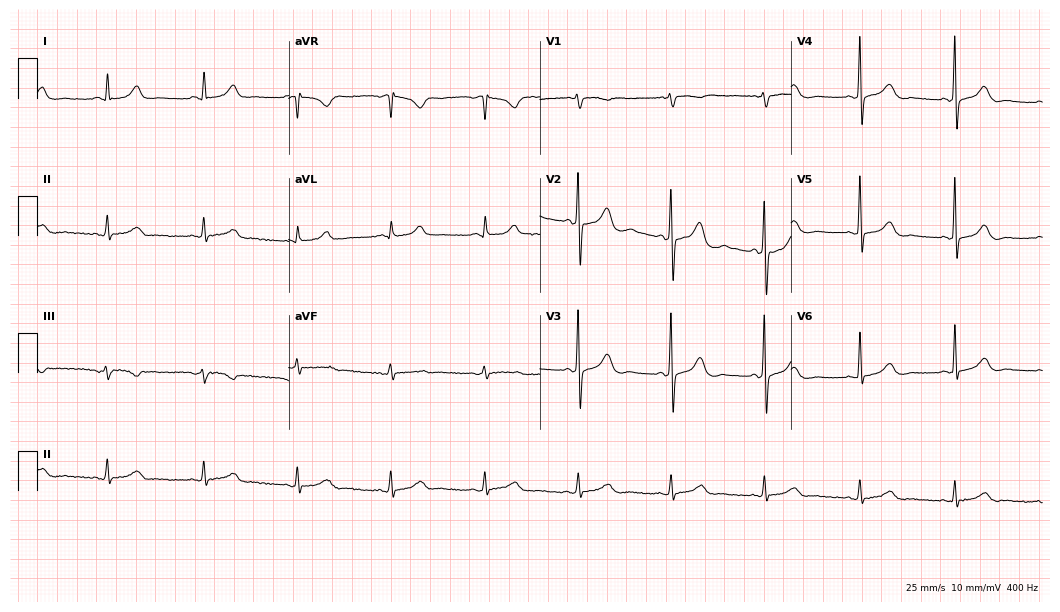
ECG — a 77-year-old female. Labelled as a normal ECG.